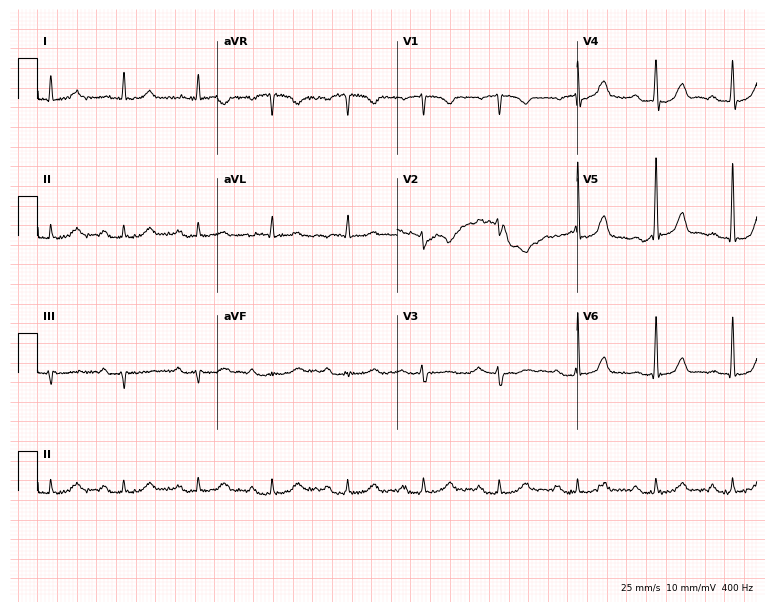
Standard 12-lead ECG recorded from an 85-year-old male patient (7.3-second recording at 400 Hz). The tracing shows first-degree AV block.